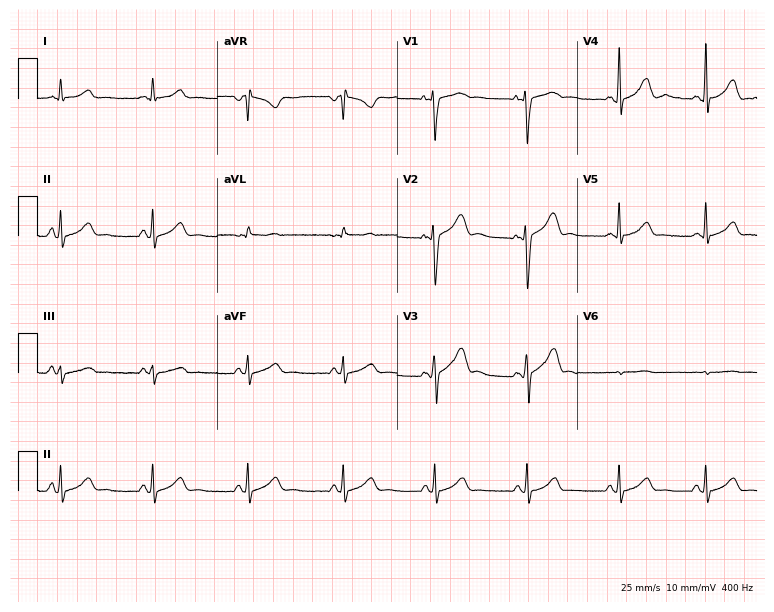
Resting 12-lead electrocardiogram. Patient: a woman, 32 years old. Read as a normal ECG.